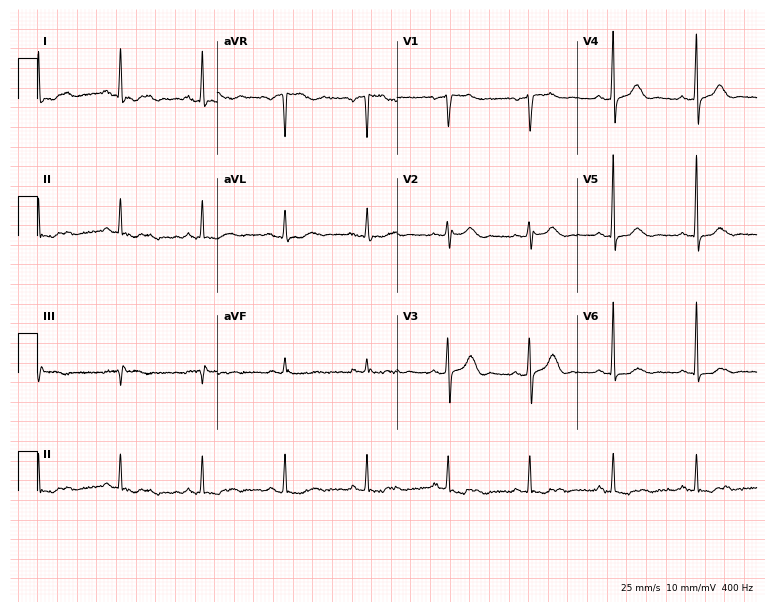
ECG — a 68-year-old female. Screened for six findings — first-degree AV block, right bundle branch block, left bundle branch block, sinus bradycardia, atrial fibrillation, sinus tachycardia — none is recorded. Other findings, if any, are not listed.